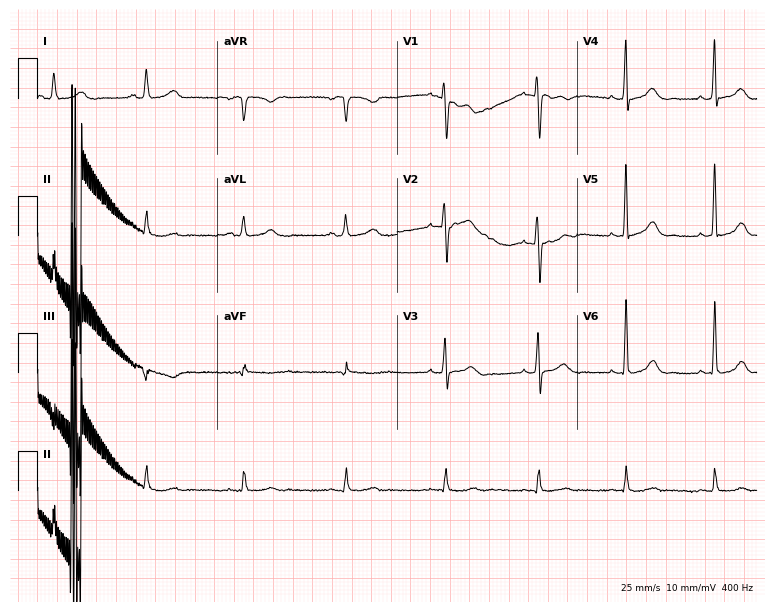
ECG (7.3-second recording at 400 Hz) — a 54-year-old woman. Screened for six findings — first-degree AV block, right bundle branch block, left bundle branch block, sinus bradycardia, atrial fibrillation, sinus tachycardia — none is recorded.